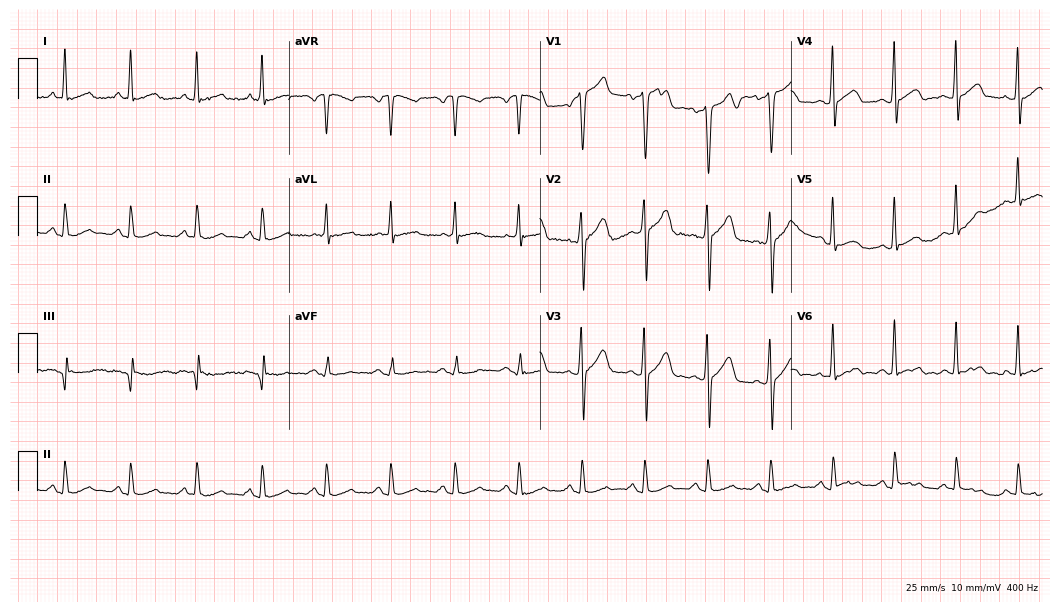
12-lead ECG (10.2-second recording at 400 Hz) from a 61-year-old male patient. Labelled as a normal ECG.